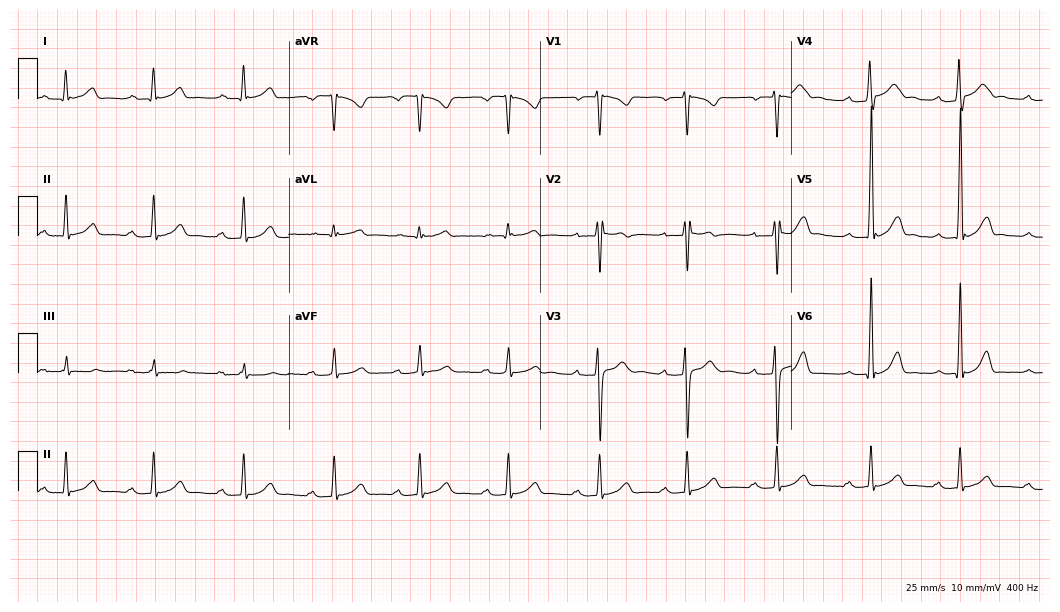
ECG — an 18-year-old man. Findings include first-degree AV block.